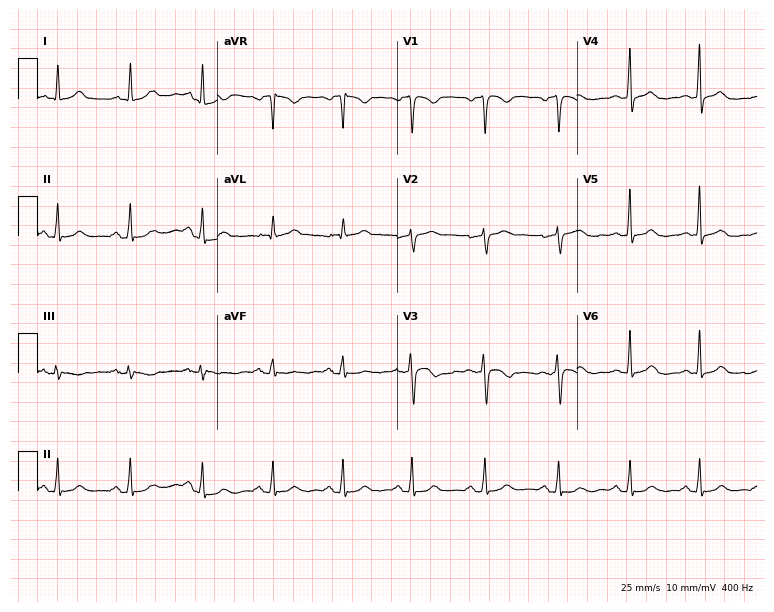
Standard 12-lead ECG recorded from a female, 40 years old. Read as a normal ECG.